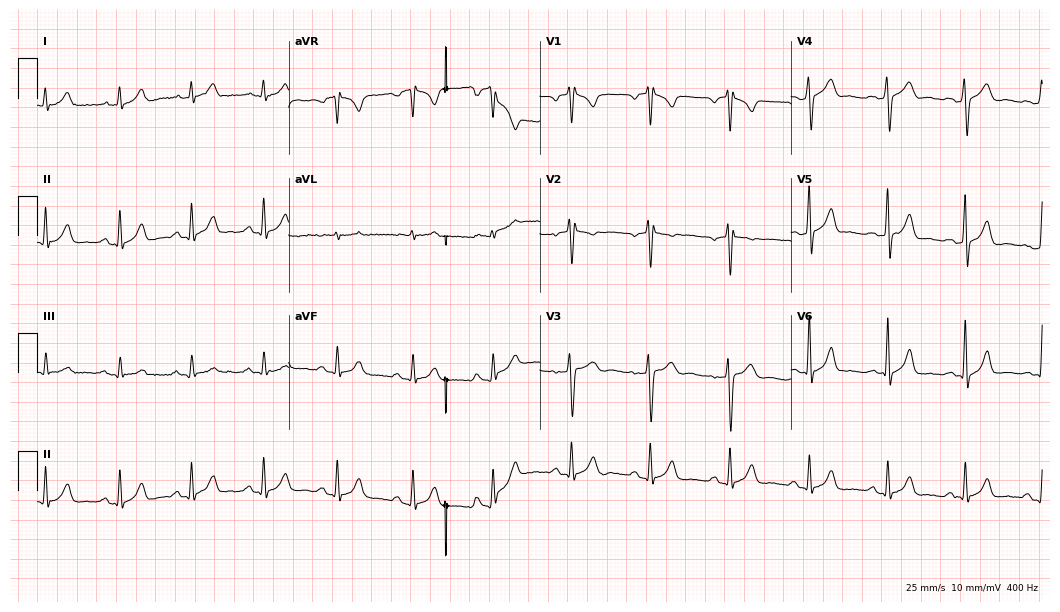
12-lead ECG from a male, 34 years old (10.2-second recording at 400 Hz). Recorded interpretation: within normal limits.